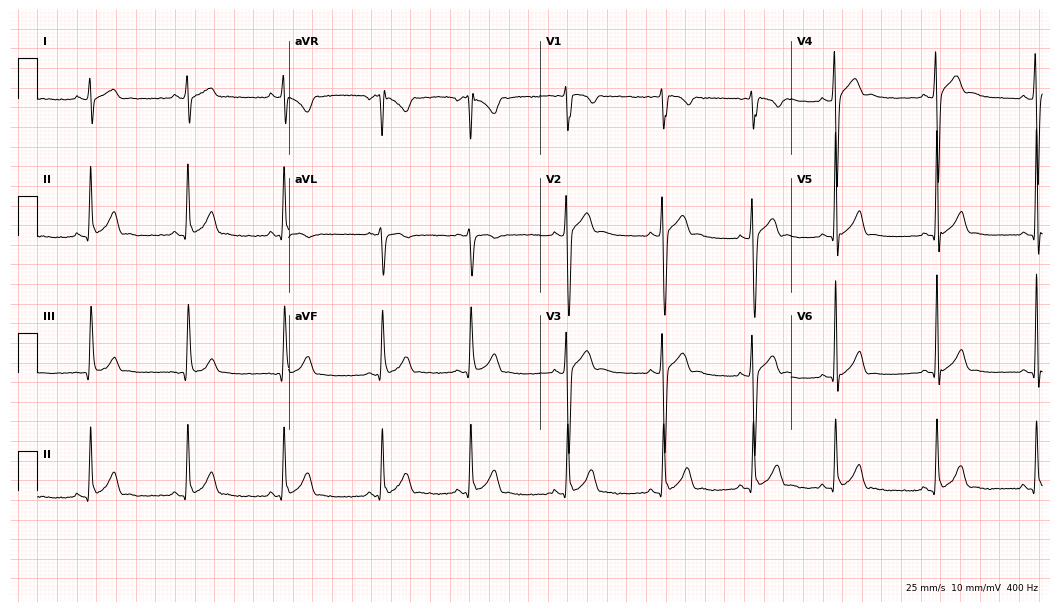
12-lead ECG from a male patient, 17 years old. Labelled as a normal ECG.